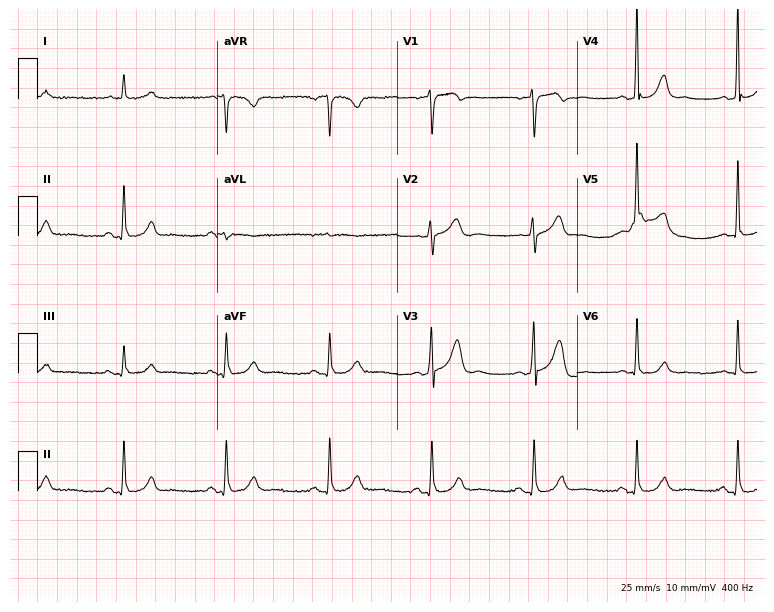
12-lead ECG from a 59-year-old male. Recorded interpretation: within normal limits.